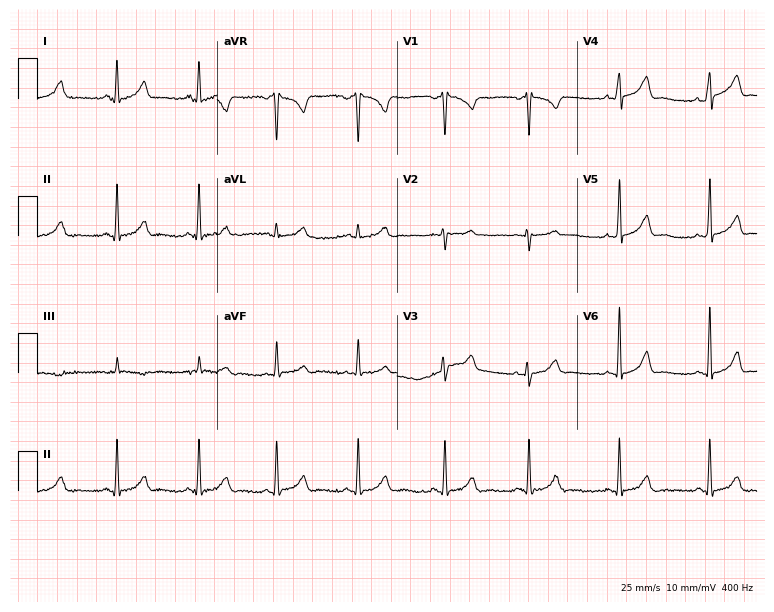
Resting 12-lead electrocardiogram. Patient: a female, 36 years old. None of these six findings is recorded: first-degree AV block, right bundle branch block, left bundle branch block, sinus bradycardia, atrial fibrillation, sinus tachycardia.